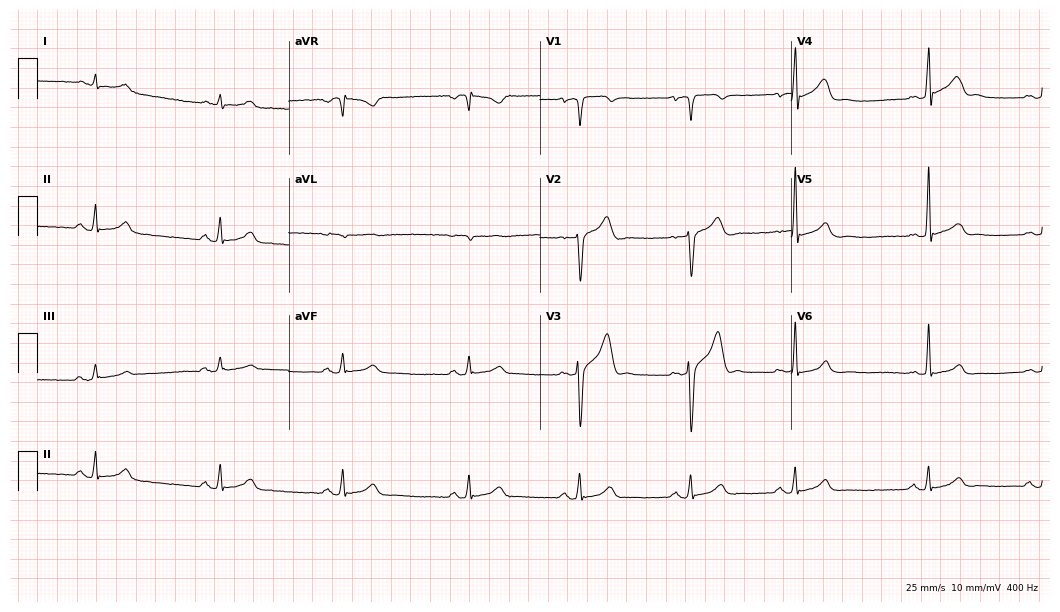
12-lead ECG from a 42-year-old man. Recorded interpretation: within normal limits.